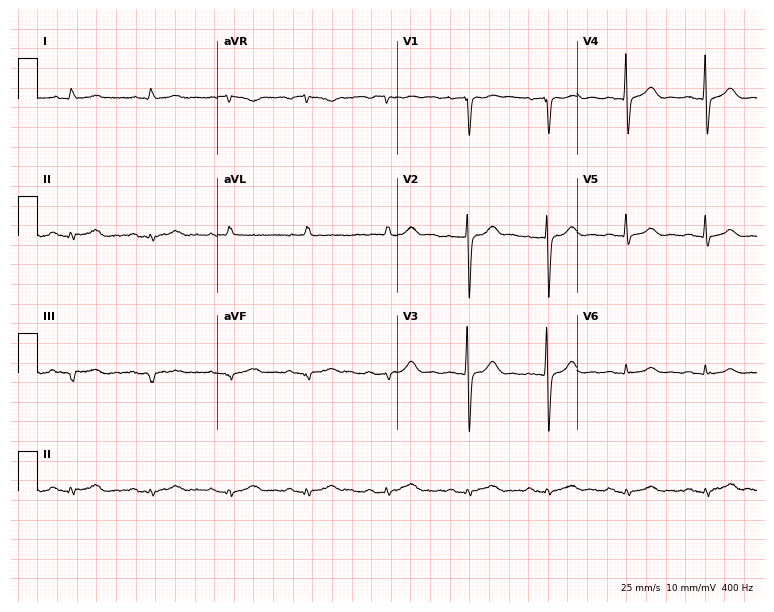
Standard 12-lead ECG recorded from a man, 84 years old. None of these six findings is recorded: first-degree AV block, right bundle branch block (RBBB), left bundle branch block (LBBB), sinus bradycardia, atrial fibrillation (AF), sinus tachycardia. Only these six findings were labelled.